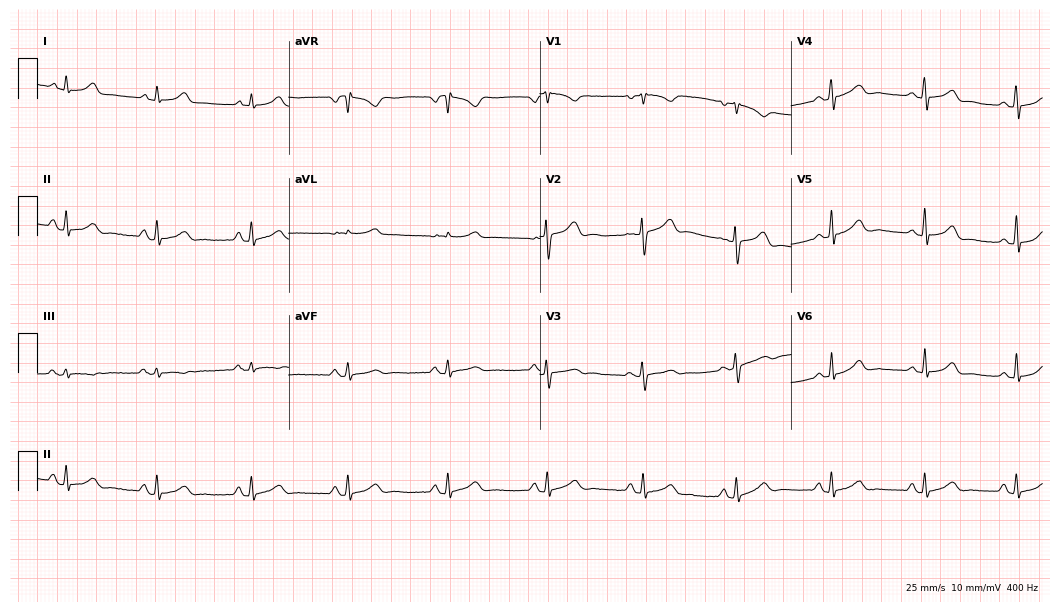
Electrocardiogram (10.2-second recording at 400 Hz), a woman, 41 years old. Overall reading on record: normal ECG.